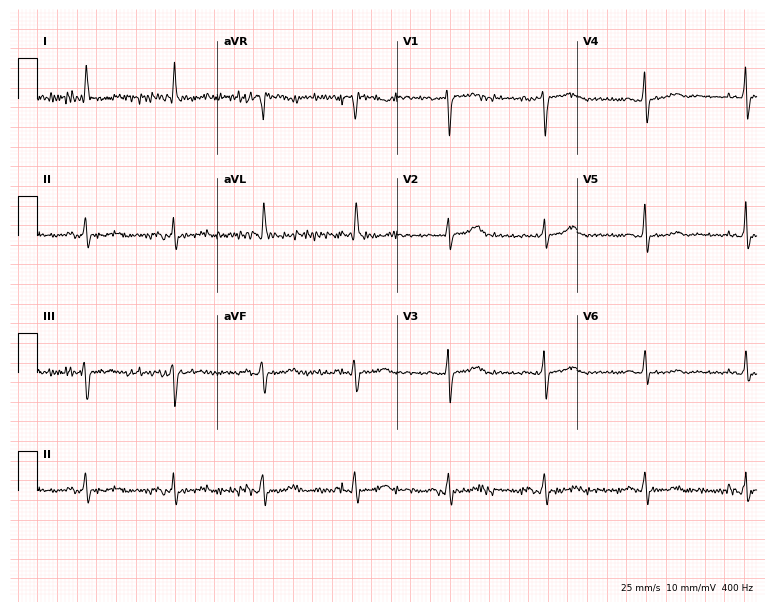
Standard 12-lead ECG recorded from a female, 72 years old (7.3-second recording at 400 Hz). None of these six findings is recorded: first-degree AV block, right bundle branch block, left bundle branch block, sinus bradycardia, atrial fibrillation, sinus tachycardia. Only these six findings were labelled.